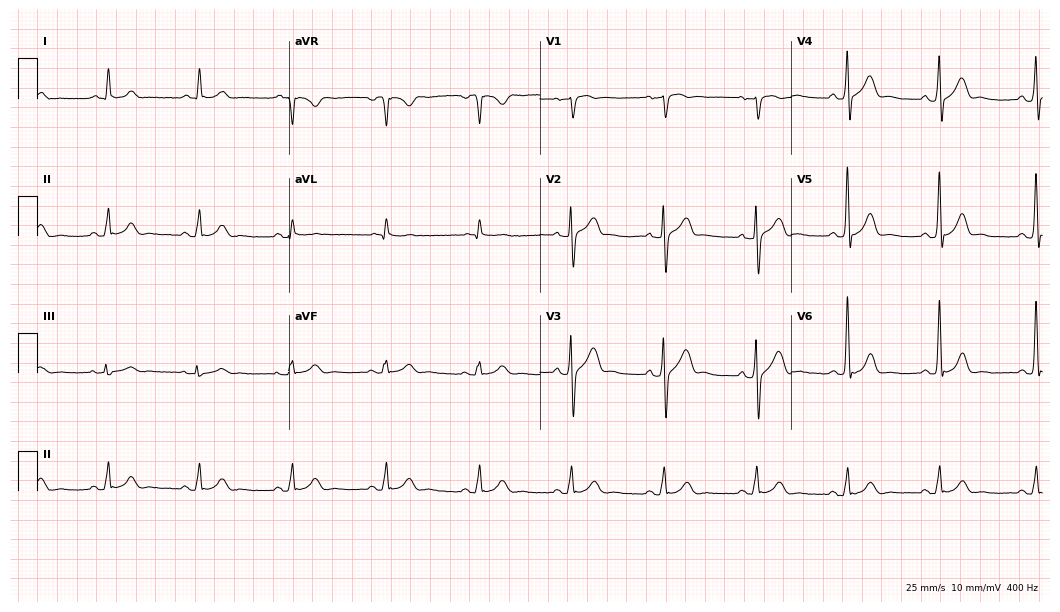
12-lead ECG (10.2-second recording at 400 Hz) from a 76-year-old man. Labelled as a normal ECG.